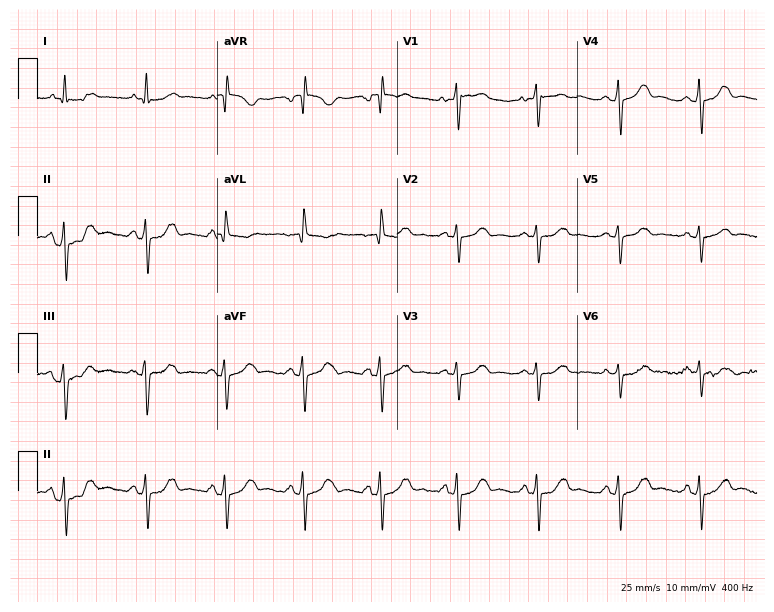
ECG (7.3-second recording at 400 Hz) — a 70-year-old woman. Screened for six findings — first-degree AV block, right bundle branch block, left bundle branch block, sinus bradycardia, atrial fibrillation, sinus tachycardia — none is recorded. Only these six findings were labelled.